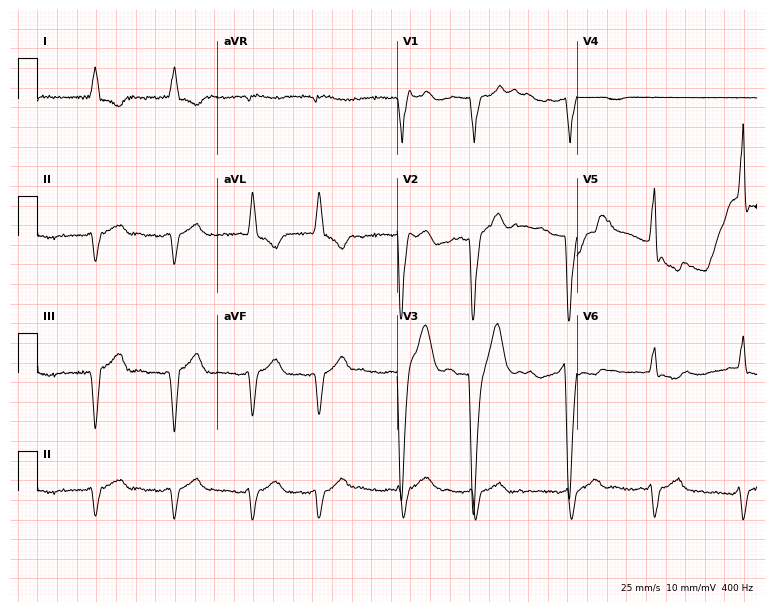
Resting 12-lead electrocardiogram (7.3-second recording at 400 Hz). Patient: a female, 79 years old. None of these six findings is recorded: first-degree AV block, right bundle branch block, left bundle branch block, sinus bradycardia, atrial fibrillation, sinus tachycardia. Other findings, if any, are not listed.